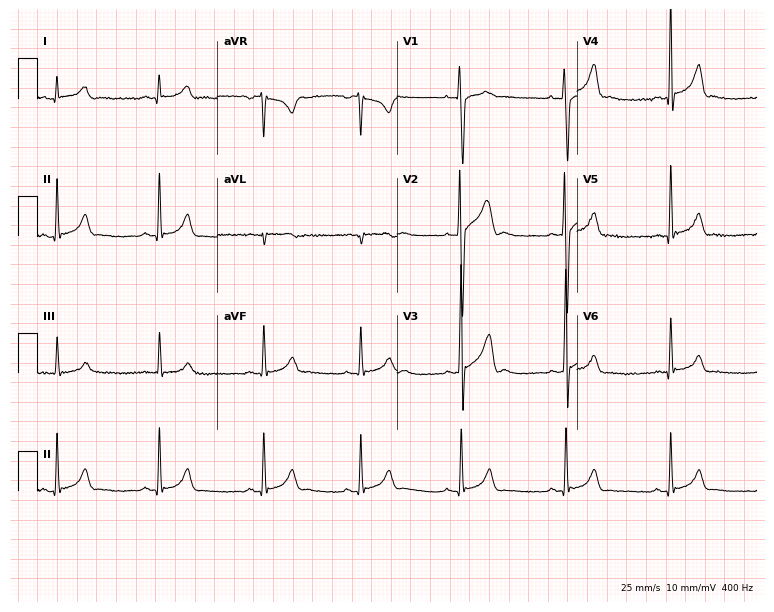
12-lead ECG from a male patient, 20 years old (7.3-second recording at 400 Hz). No first-degree AV block, right bundle branch block, left bundle branch block, sinus bradycardia, atrial fibrillation or sinus tachycardia recorded for this tracing. Other findings, if any, are not listed.